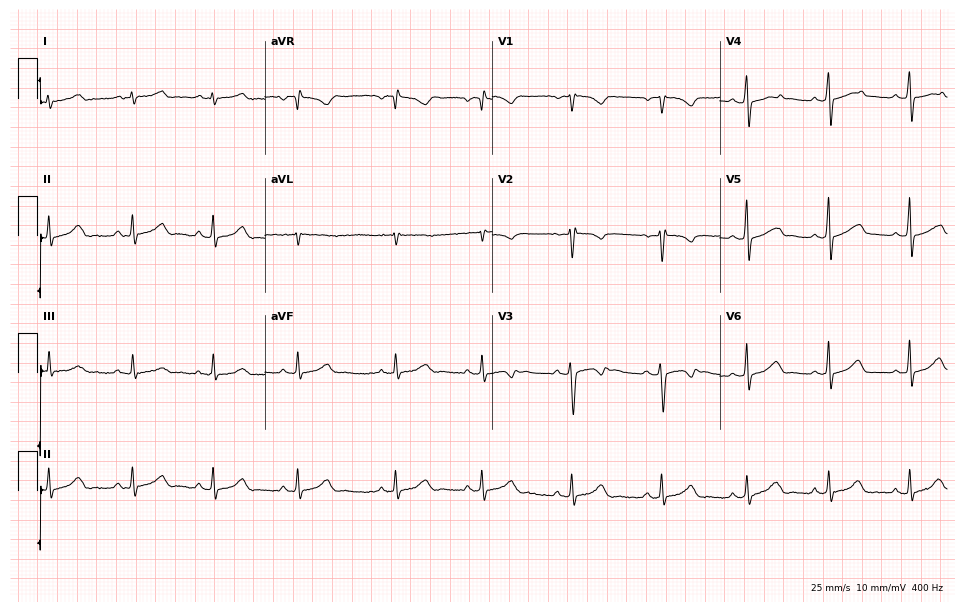
12-lead ECG from a 28-year-old female patient. Screened for six findings — first-degree AV block, right bundle branch block, left bundle branch block, sinus bradycardia, atrial fibrillation, sinus tachycardia — none is recorded.